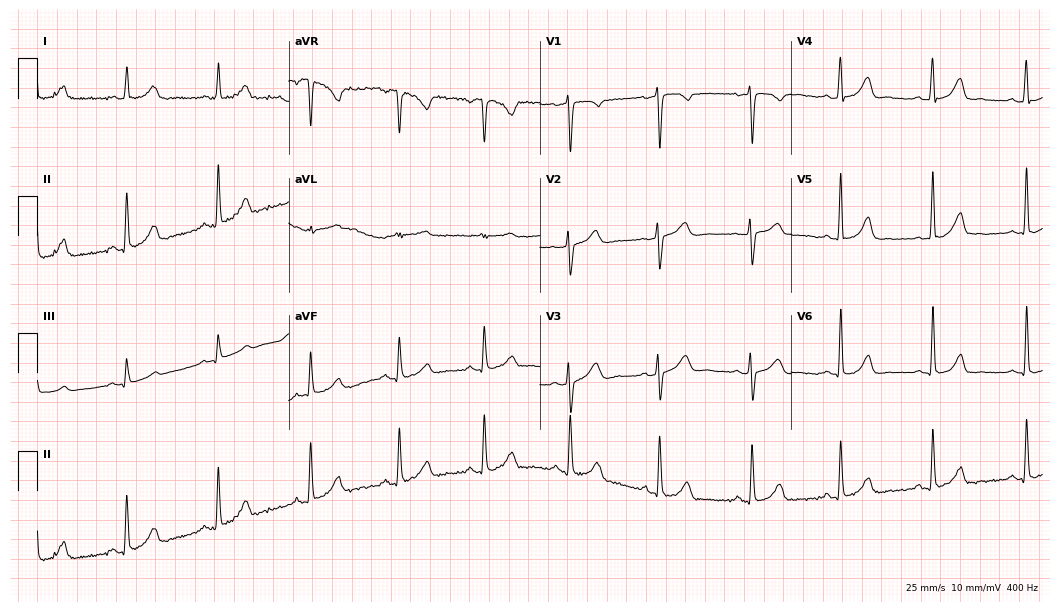
Resting 12-lead electrocardiogram (10.2-second recording at 400 Hz). Patient: a 35-year-old woman. Read as a normal ECG.